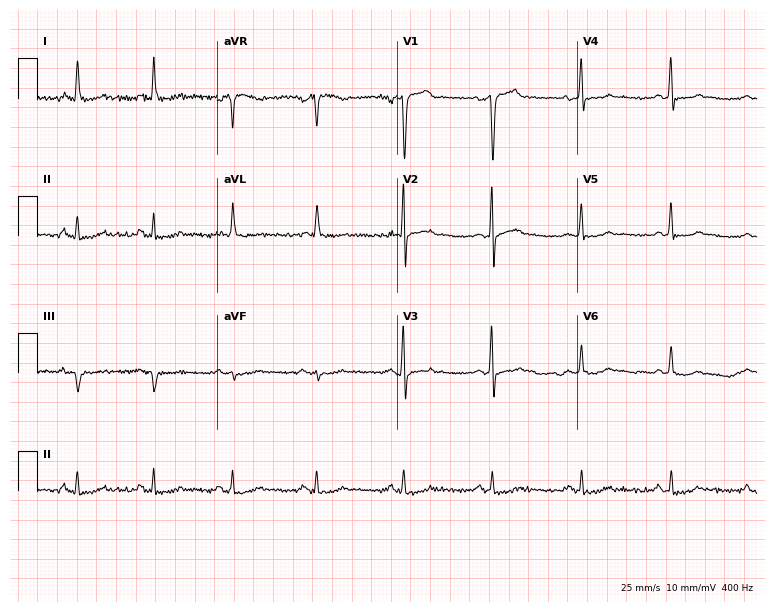
Standard 12-lead ECG recorded from a 66-year-old male patient (7.3-second recording at 400 Hz). None of these six findings is recorded: first-degree AV block, right bundle branch block (RBBB), left bundle branch block (LBBB), sinus bradycardia, atrial fibrillation (AF), sinus tachycardia.